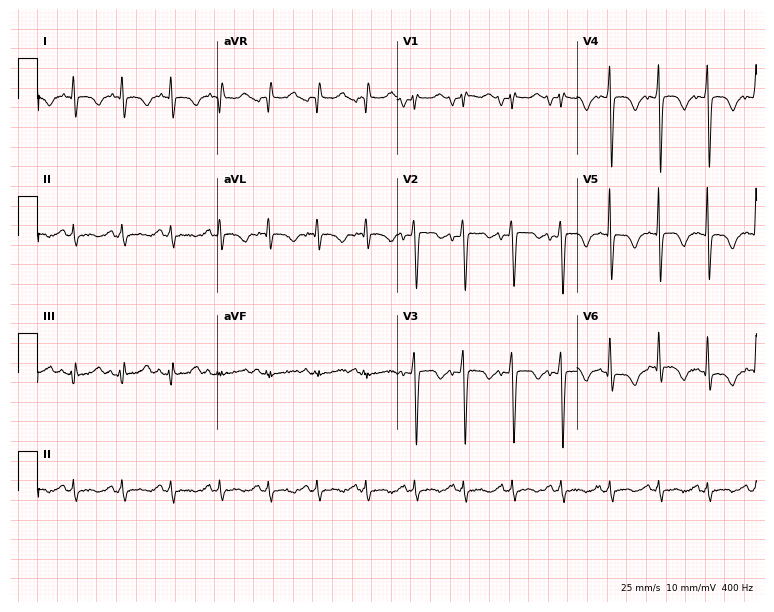
Standard 12-lead ECG recorded from a 28-year-old female. The tracing shows sinus tachycardia (a sinus rate of 100 beats per minute or more).